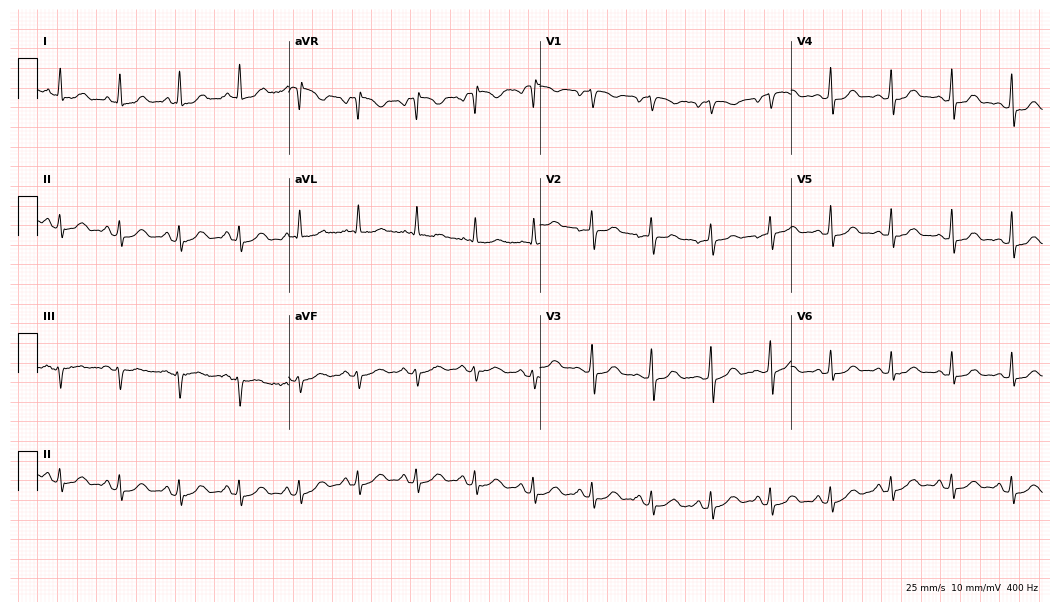
Resting 12-lead electrocardiogram. Patient: a female, 45 years old. Read as a normal ECG.